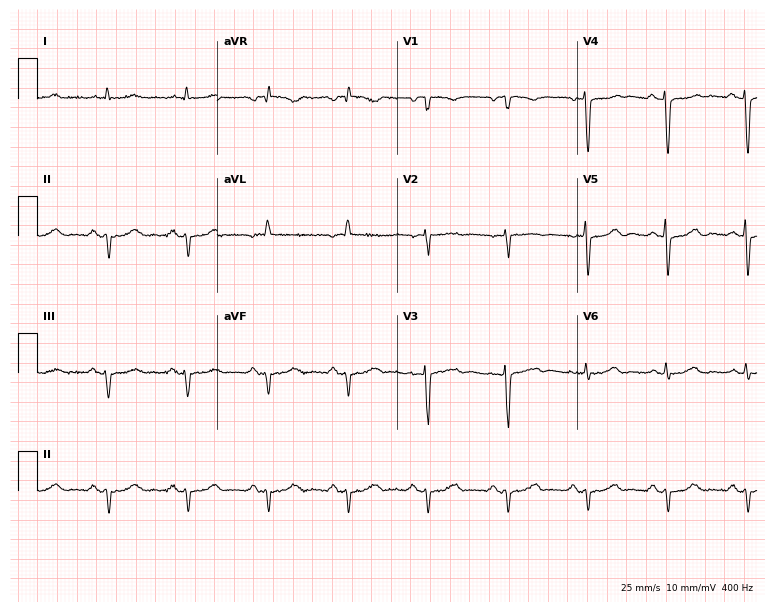
ECG (7.3-second recording at 400 Hz) — a 77-year-old male patient. Screened for six findings — first-degree AV block, right bundle branch block, left bundle branch block, sinus bradycardia, atrial fibrillation, sinus tachycardia — none is recorded. Findings outside these six are not listed.